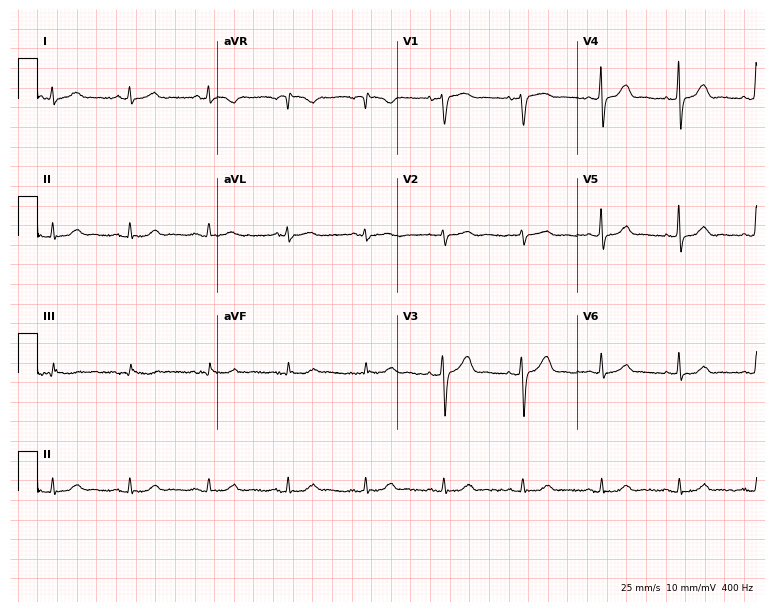
Standard 12-lead ECG recorded from a female patient, 64 years old (7.3-second recording at 400 Hz). None of these six findings is recorded: first-degree AV block, right bundle branch block, left bundle branch block, sinus bradycardia, atrial fibrillation, sinus tachycardia.